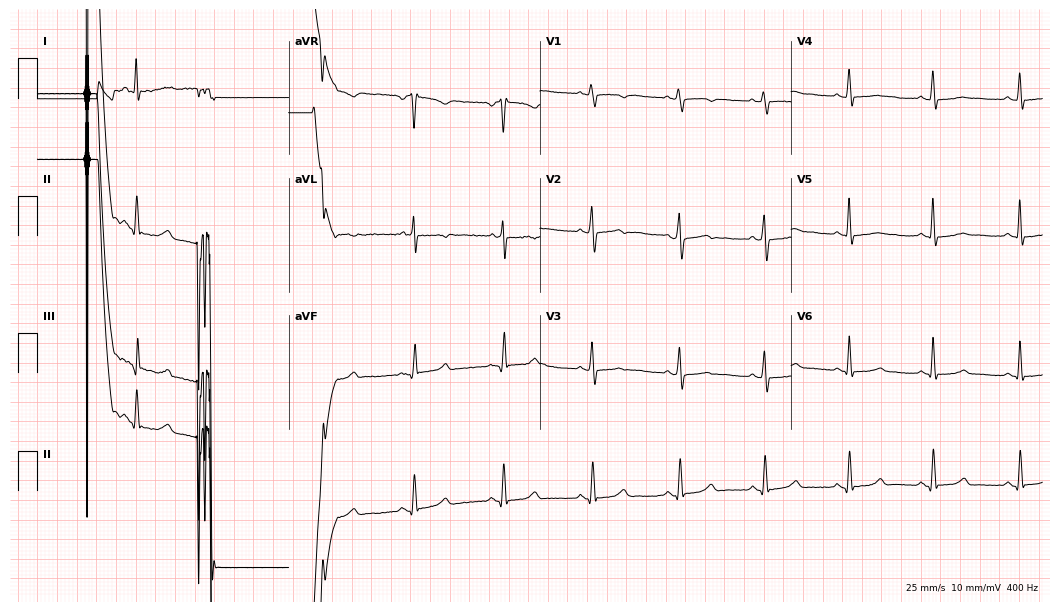
12-lead ECG from a 54-year-old woman. No first-degree AV block, right bundle branch block, left bundle branch block, sinus bradycardia, atrial fibrillation or sinus tachycardia recorded for this tracing.